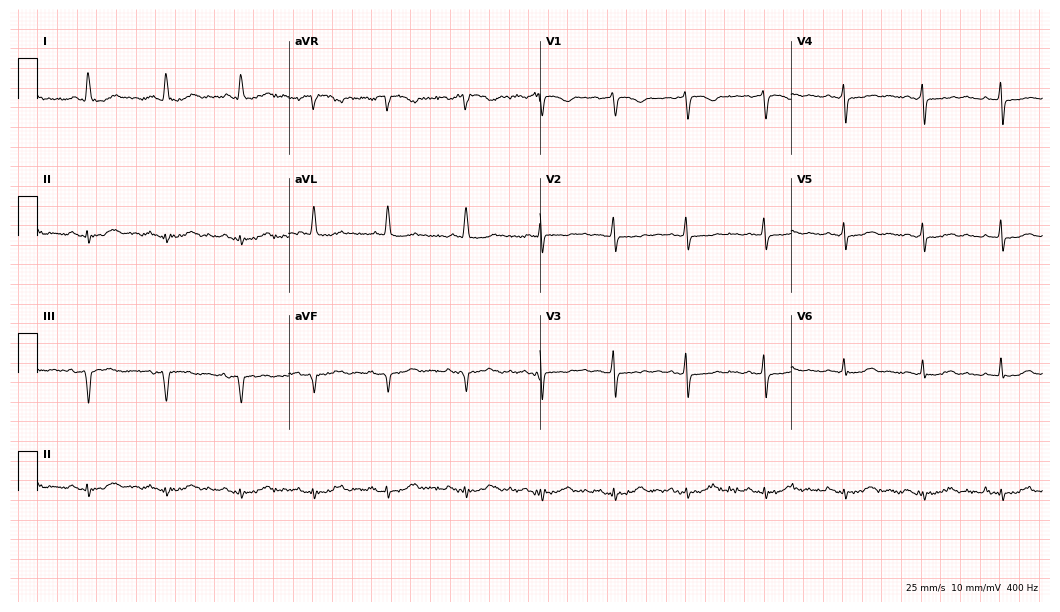
Standard 12-lead ECG recorded from a female, 72 years old. None of these six findings is recorded: first-degree AV block, right bundle branch block (RBBB), left bundle branch block (LBBB), sinus bradycardia, atrial fibrillation (AF), sinus tachycardia. Findings outside these six are not listed.